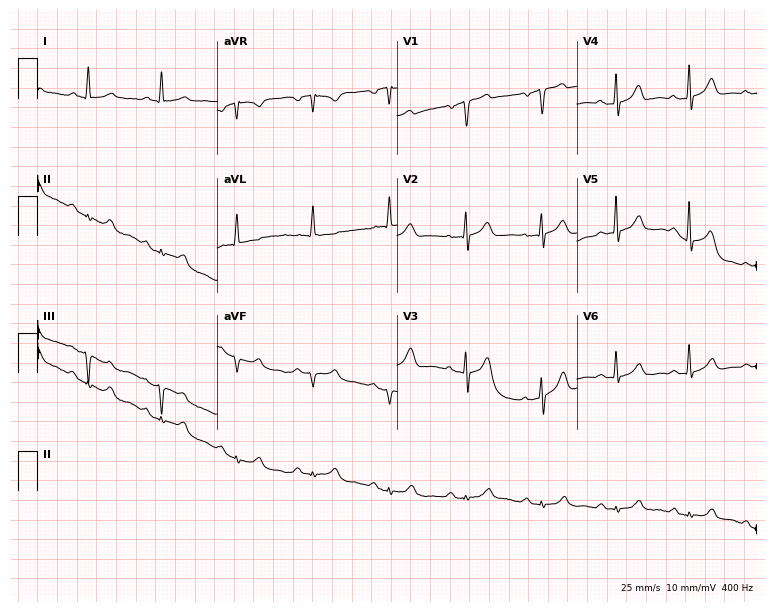
Standard 12-lead ECG recorded from an 80-year-old man (7.3-second recording at 400 Hz). None of these six findings is recorded: first-degree AV block, right bundle branch block (RBBB), left bundle branch block (LBBB), sinus bradycardia, atrial fibrillation (AF), sinus tachycardia.